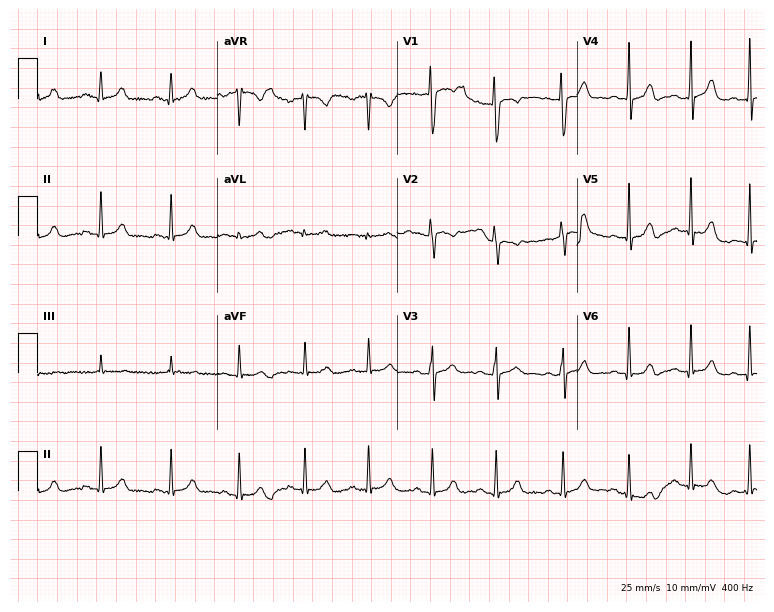
ECG (7.3-second recording at 400 Hz) — a female, 21 years old. Labelled as a normal ECG.